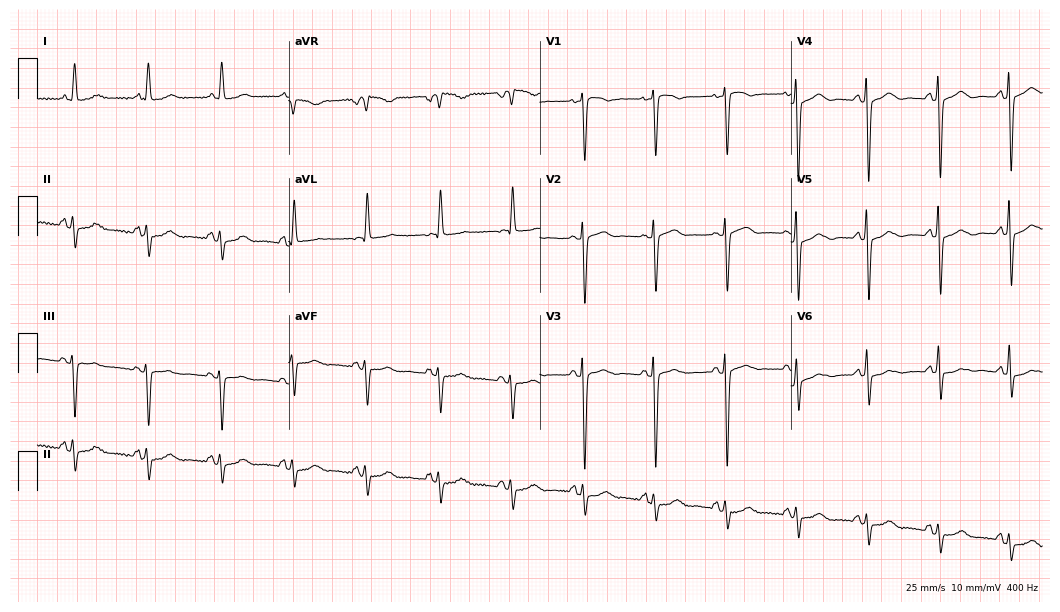
Standard 12-lead ECG recorded from a female patient, 77 years old. None of these six findings is recorded: first-degree AV block, right bundle branch block, left bundle branch block, sinus bradycardia, atrial fibrillation, sinus tachycardia. Only these six findings were labelled.